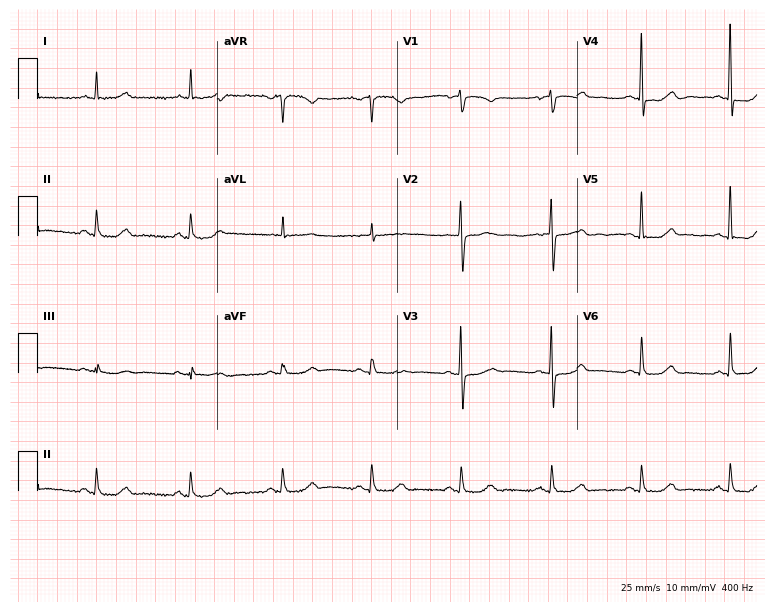
Standard 12-lead ECG recorded from a female, 67 years old. Read as a normal ECG.